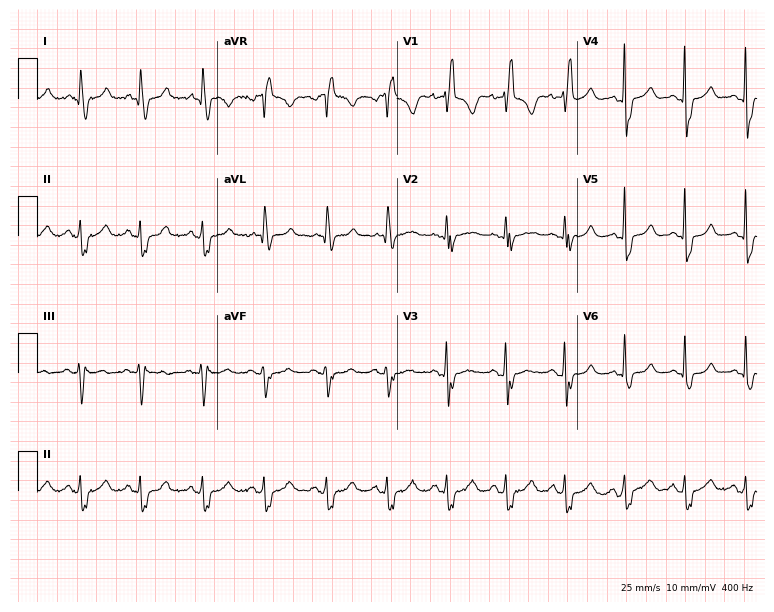
12-lead ECG from a 67-year-old female. Findings include right bundle branch block.